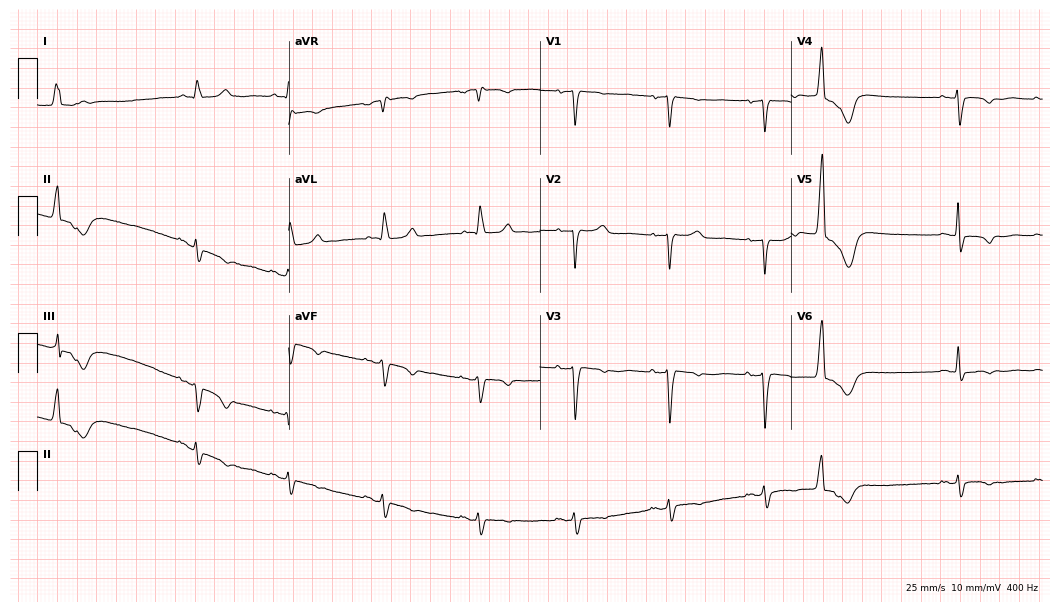
Resting 12-lead electrocardiogram (10.2-second recording at 400 Hz). Patient: an 81-year-old woman. None of these six findings is recorded: first-degree AV block, right bundle branch block (RBBB), left bundle branch block (LBBB), sinus bradycardia, atrial fibrillation (AF), sinus tachycardia. Only these six findings were labelled.